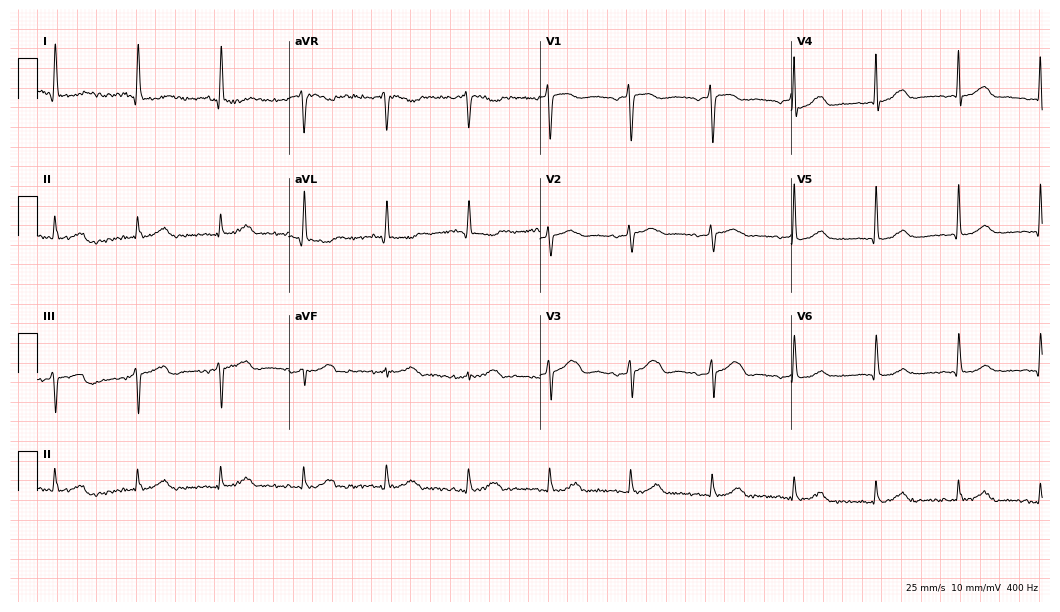
Resting 12-lead electrocardiogram. Patient: a female, 78 years old. None of these six findings is recorded: first-degree AV block, right bundle branch block, left bundle branch block, sinus bradycardia, atrial fibrillation, sinus tachycardia.